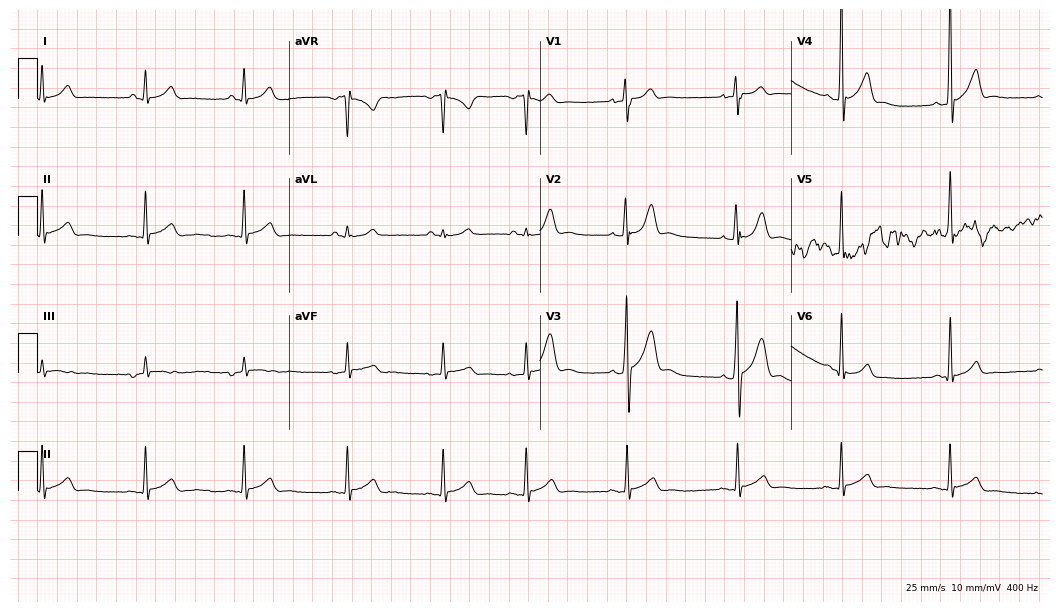
12-lead ECG (10.2-second recording at 400 Hz) from a male, 17 years old. Labelled as a normal ECG.